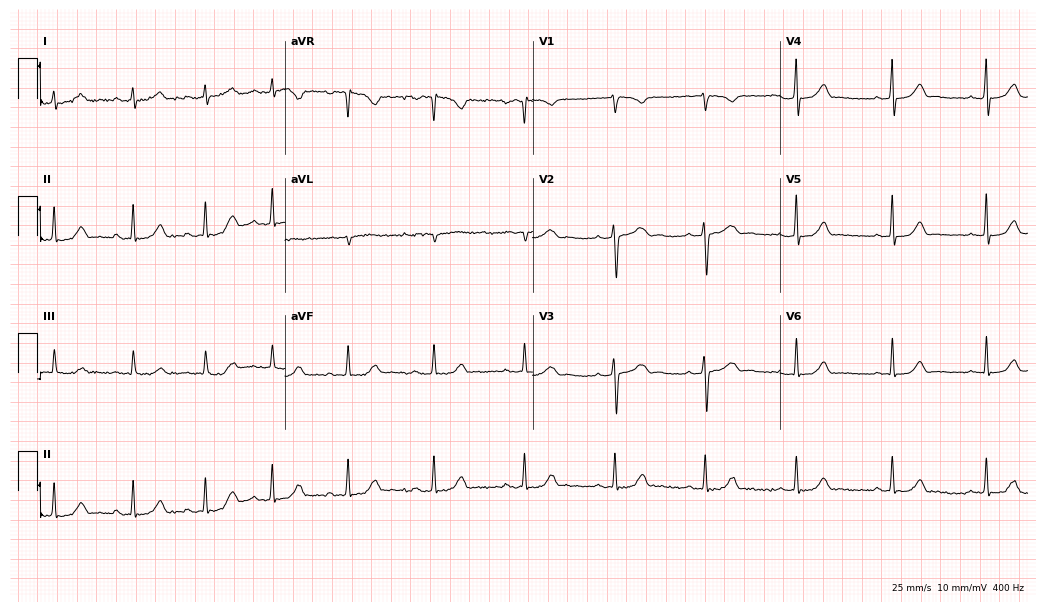
Resting 12-lead electrocardiogram (10.1-second recording at 400 Hz). Patient: a woman, 17 years old. Read as a normal ECG.